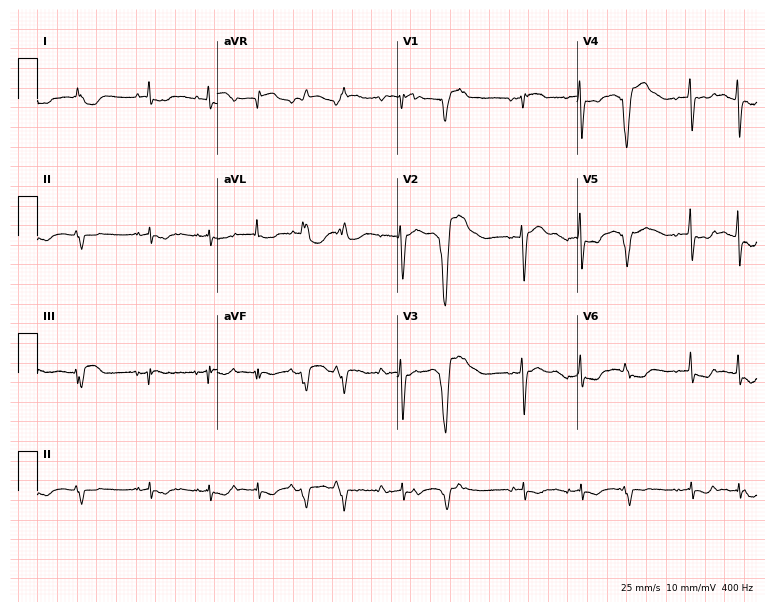
Electrocardiogram (7.3-second recording at 400 Hz), a female patient, 74 years old. Interpretation includes atrial fibrillation.